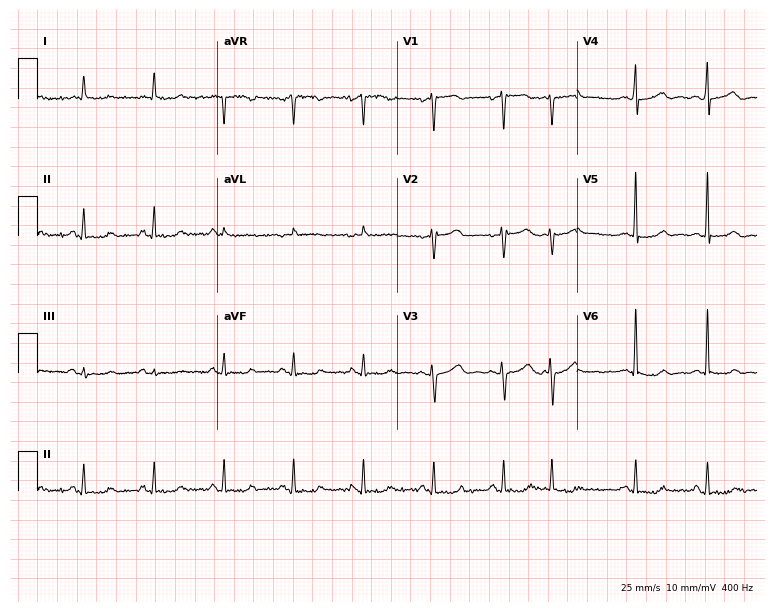
12-lead ECG from a 68-year-old female patient (7.3-second recording at 400 Hz). No first-degree AV block, right bundle branch block, left bundle branch block, sinus bradycardia, atrial fibrillation or sinus tachycardia recorded for this tracing. Other findings, if any, are not listed.